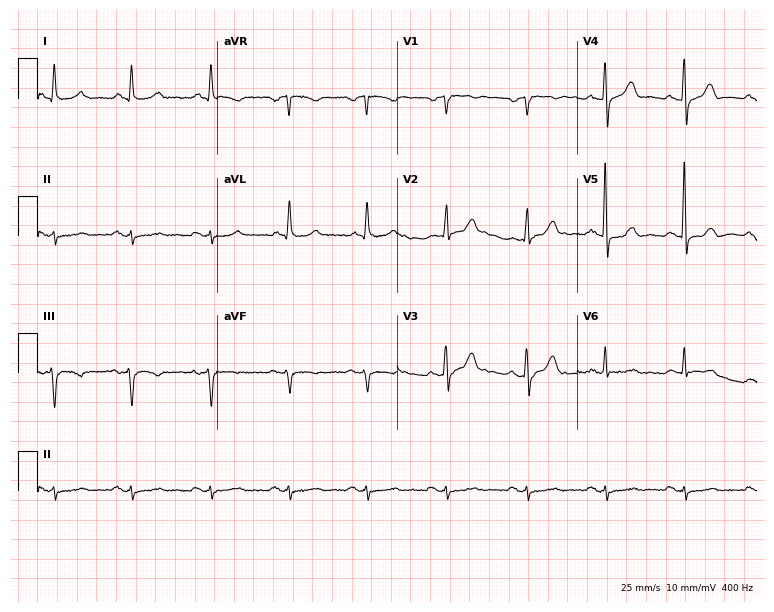
Electrocardiogram (7.3-second recording at 400 Hz), a male, 71 years old. Of the six screened findings (first-degree AV block, right bundle branch block (RBBB), left bundle branch block (LBBB), sinus bradycardia, atrial fibrillation (AF), sinus tachycardia), none is recorded.